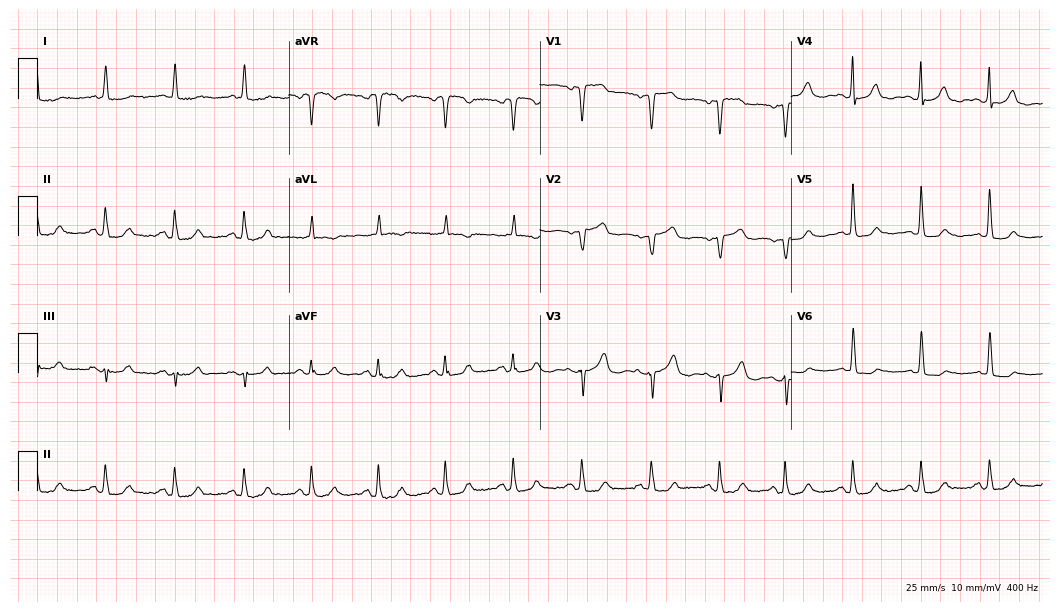
Standard 12-lead ECG recorded from a 67-year-old woman. None of these six findings is recorded: first-degree AV block, right bundle branch block, left bundle branch block, sinus bradycardia, atrial fibrillation, sinus tachycardia. Findings outside these six are not listed.